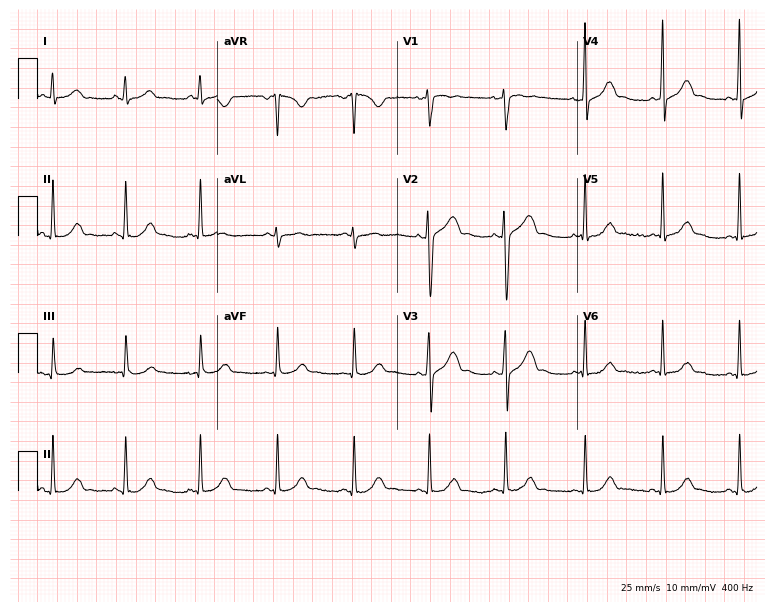
ECG — a 35-year-old woman. Screened for six findings — first-degree AV block, right bundle branch block, left bundle branch block, sinus bradycardia, atrial fibrillation, sinus tachycardia — none is recorded.